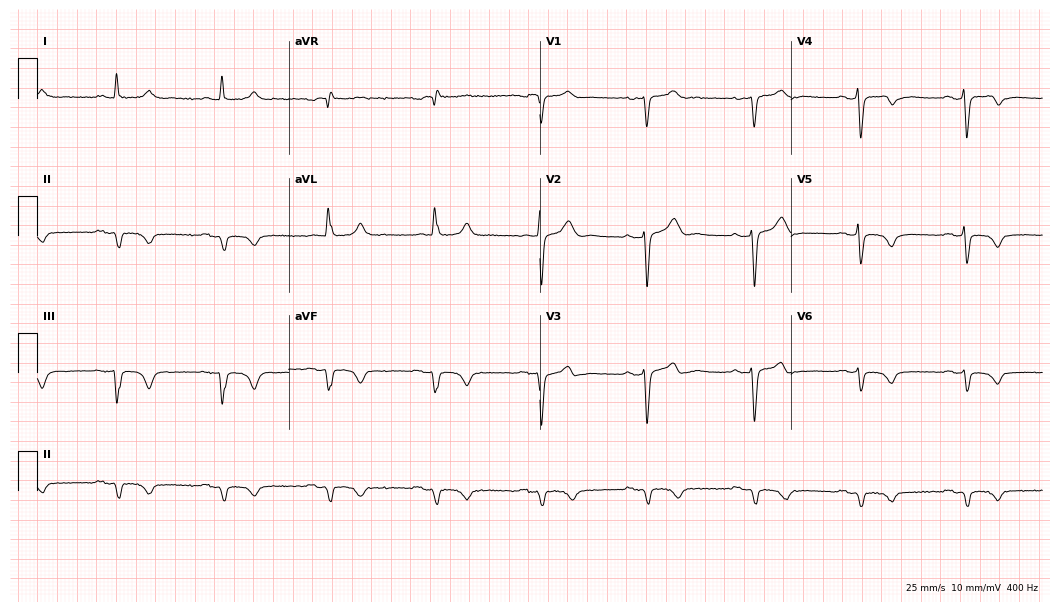
Electrocardiogram (10.2-second recording at 400 Hz), a male patient, 75 years old. Of the six screened findings (first-degree AV block, right bundle branch block, left bundle branch block, sinus bradycardia, atrial fibrillation, sinus tachycardia), none is recorded. Other findings, if any, are not listed.